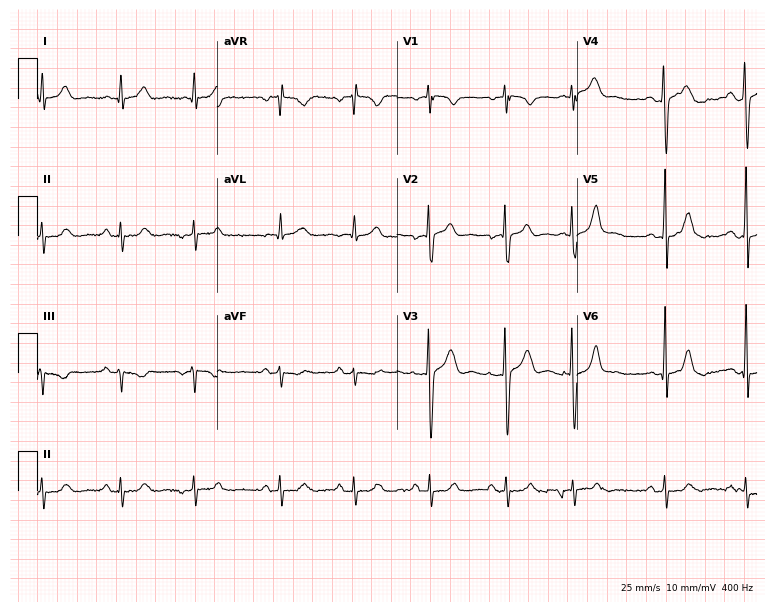
12-lead ECG (7.3-second recording at 400 Hz) from a male, 37 years old. Screened for six findings — first-degree AV block, right bundle branch block, left bundle branch block, sinus bradycardia, atrial fibrillation, sinus tachycardia — none is recorded. Other findings, if any, are not listed.